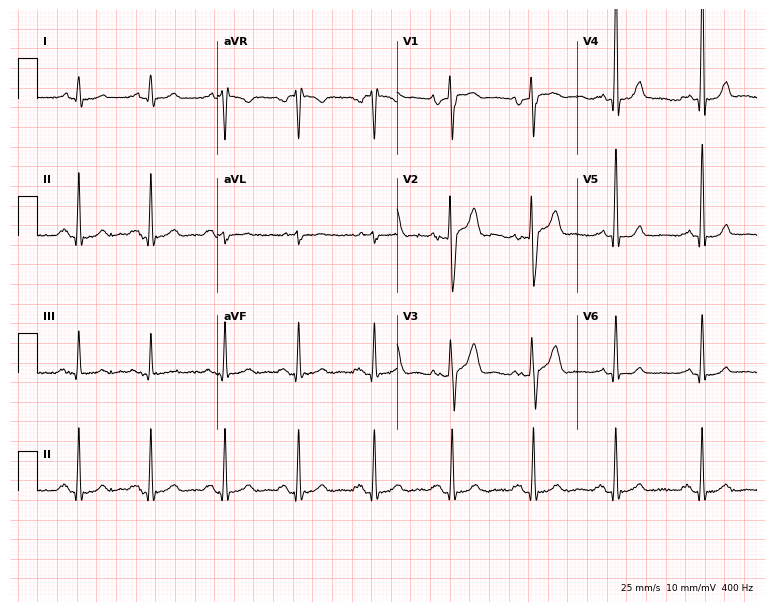
ECG (7.3-second recording at 400 Hz) — a male patient, 29 years old. Screened for six findings — first-degree AV block, right bundle branch block (RBBB), left bundle branch block (LBBB), sinus bradycardia, atrial fibrillation (AF), sinus tachycardia — none is recorded.